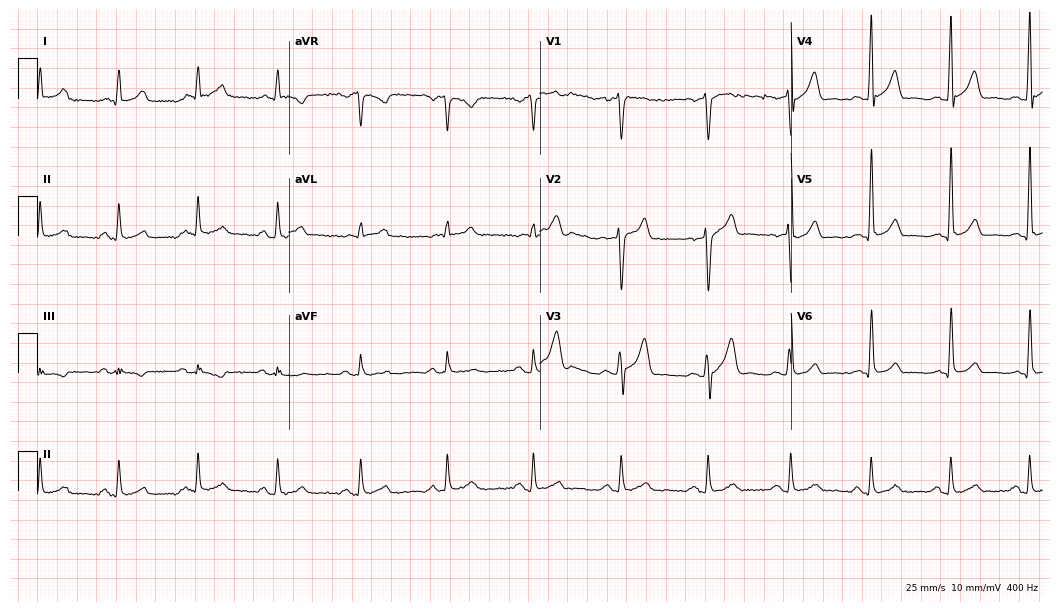
Standard 12-lead ECG recorded from a woman, 44 years old. Read as a normal ECG.